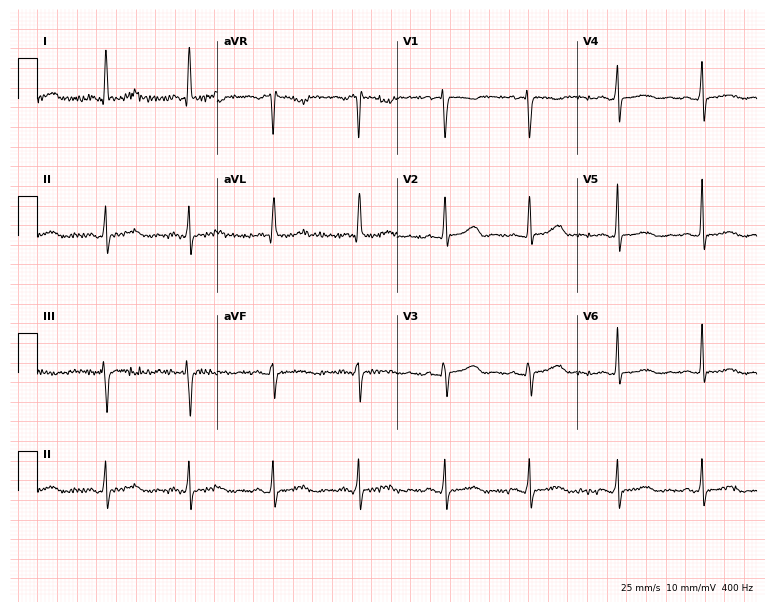
Standard 12-lead ECG recorded from a 61-year-old woman. None of these six findings is recorded: first-degree AV block, right bundle branch block, left bundle branch block, sinus bradycardia, atrial fibrillation, sinus tachycardia.